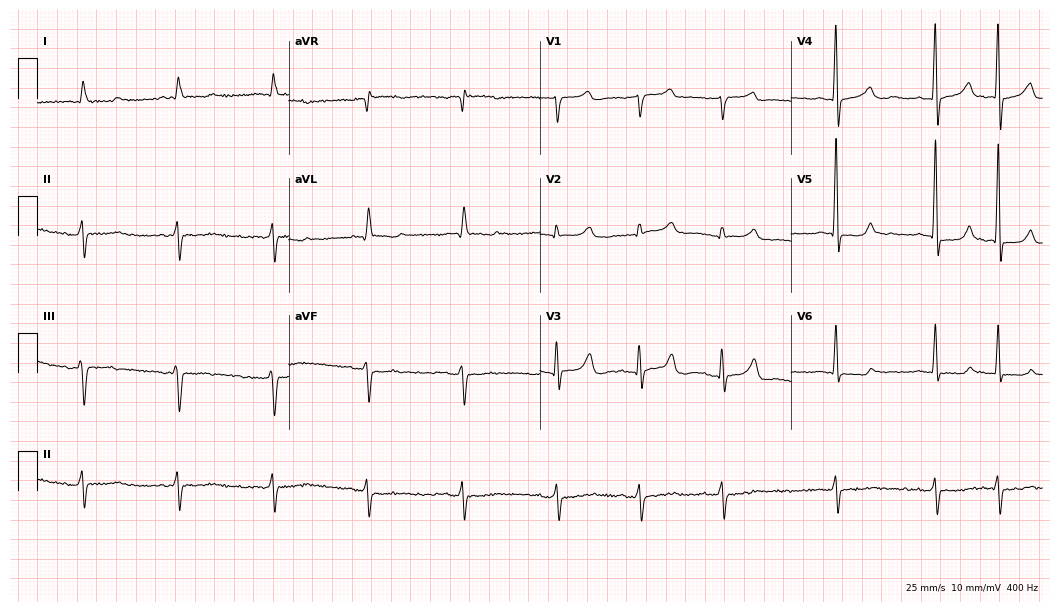
Electrocardiogram (10.2-second recording at 400 Hz), a 78-year-old man. Of the six screened findings (first-degree AV block, right bundle branch block, left bundle branch block, sinus bradycardia, atrial fibrillation, sinus tachycardia), none is recorded.